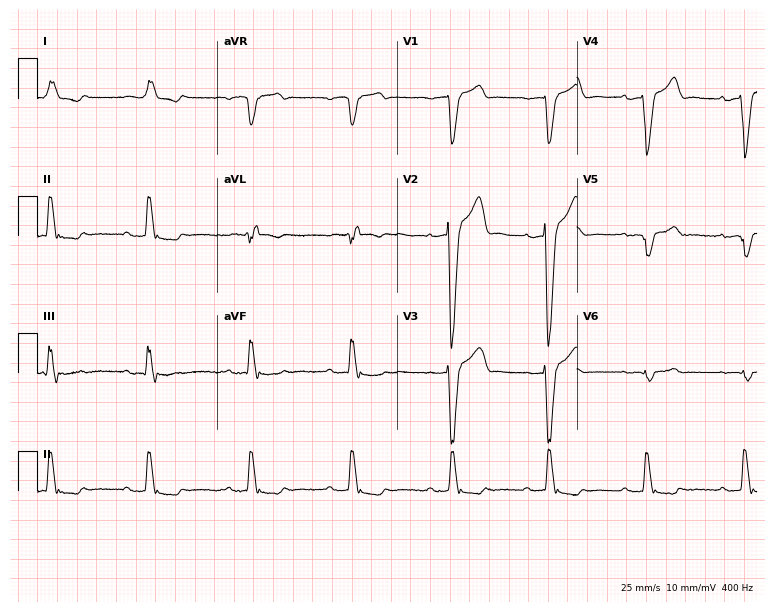
Electrocardiogram, a male, 81 years old. Of the six screened findings (first-degree AV block, right bundle branch block (RBBB), left bundle branch block (LBBB), sinus bradycardia, atrial fibrillation (AF), sinus tachycardia), none is recorded. Findings outside these six are not listed.